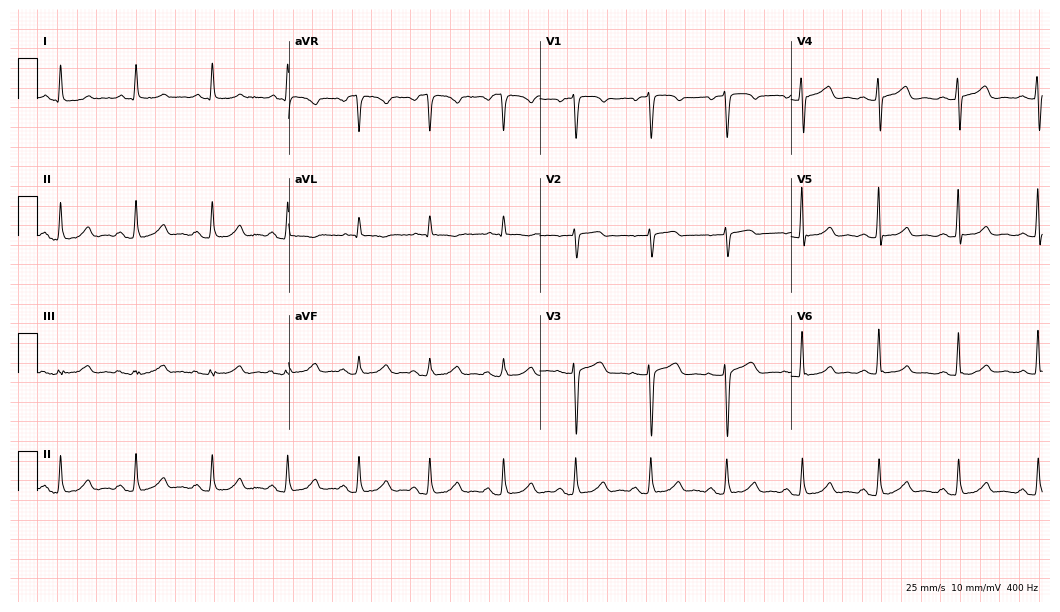
Standard 12-lead ECG recorded from a female patient, 64 years old. Read as a normal ECG.